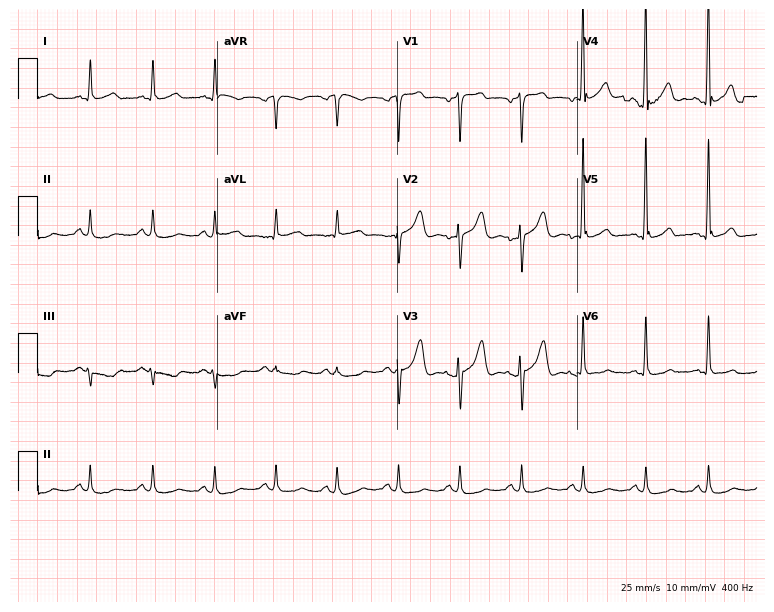
Electrocardiogram (7.3-second recording at 400 Hz), a 57-year-old male patient. Of the six screened findings (first-degree AV block, right bundle branch block, left bundle branch block, sinus bradycardia, atrial fibrillation, sinus tachycardia), none is recorded.